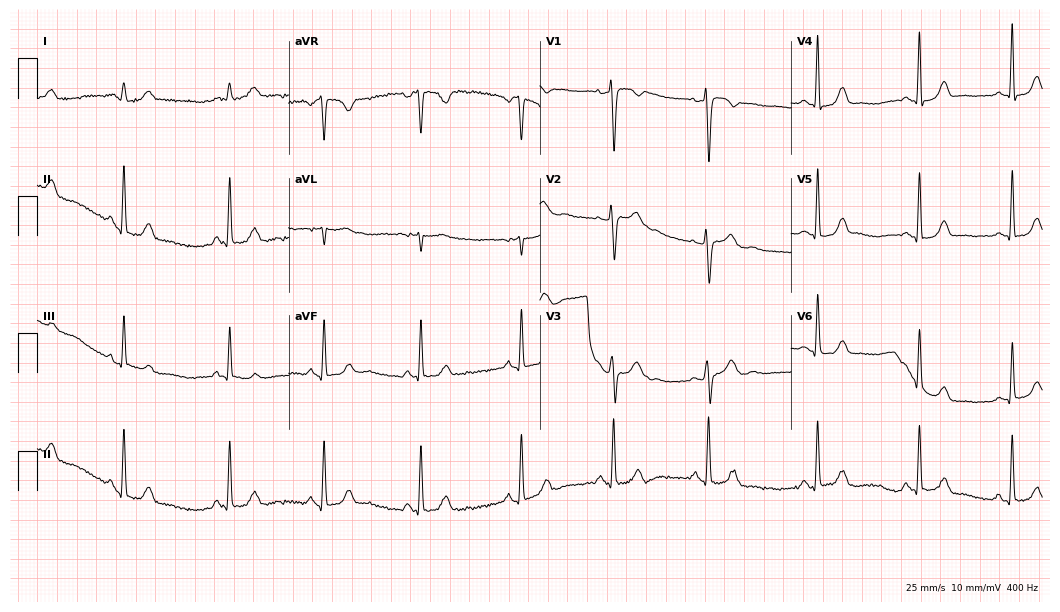
12-lead ECG from a 41-year-old female patient. Recorded interpretation: within normal limits.